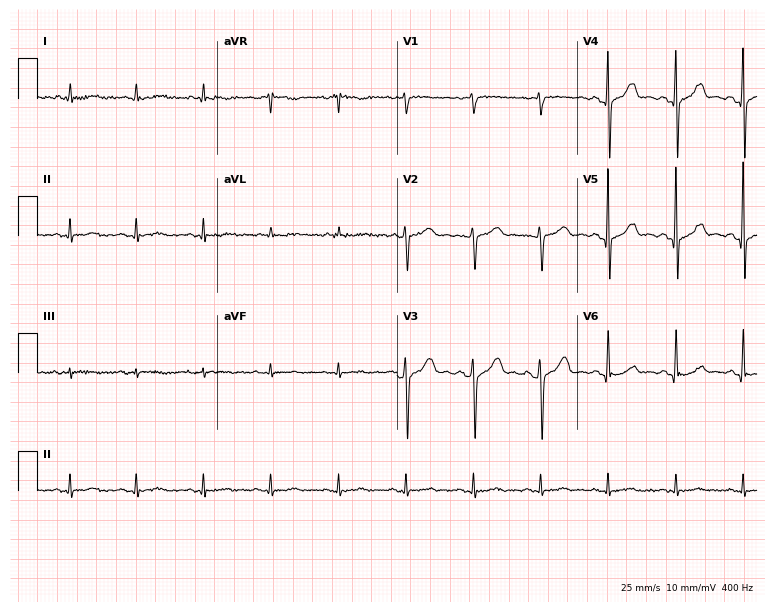
ECG — a 74-year-old male. Screened for six findings — first-degree AV block, right bundle branch block, left bundle branch block, sinus bradycardia, atrial fibrillation, sinus tachycardia — none is recorded.